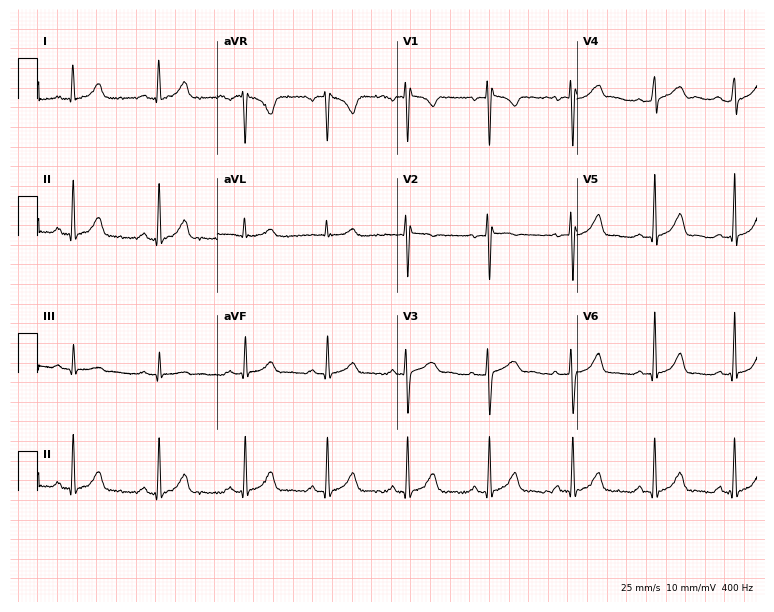
ECG — a woman, 36 years old. Screened for six findings — first-degree AV block, right bundle branch block (RBBB), left bundle branch block (LBBB), sinus bradycardia, atrial fibrillation (AF), sinus tachycardia — none is recorded. Findings outside these six are not listed.